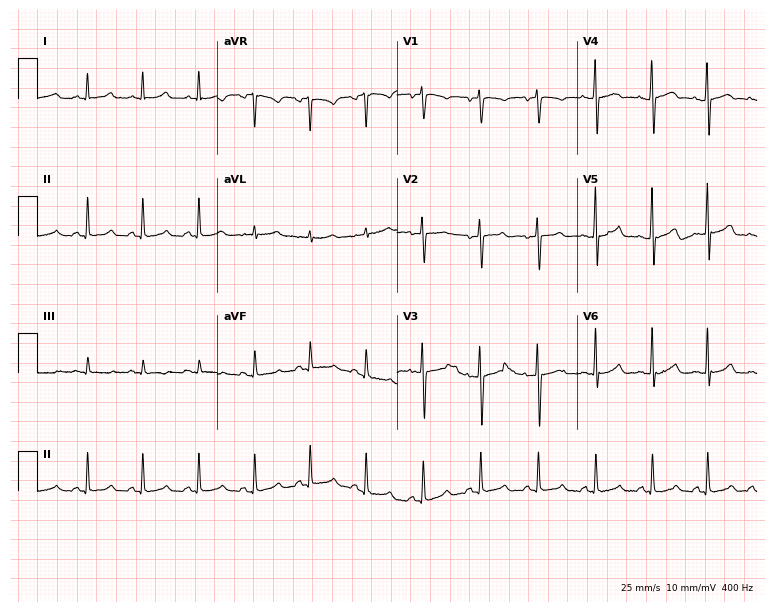
12-lead ECG (7.3-second recording at 400 Hz) from a 31-year-old female. Findings include sinus tachycardia (a sinus rate of 100 beats per minute or more).